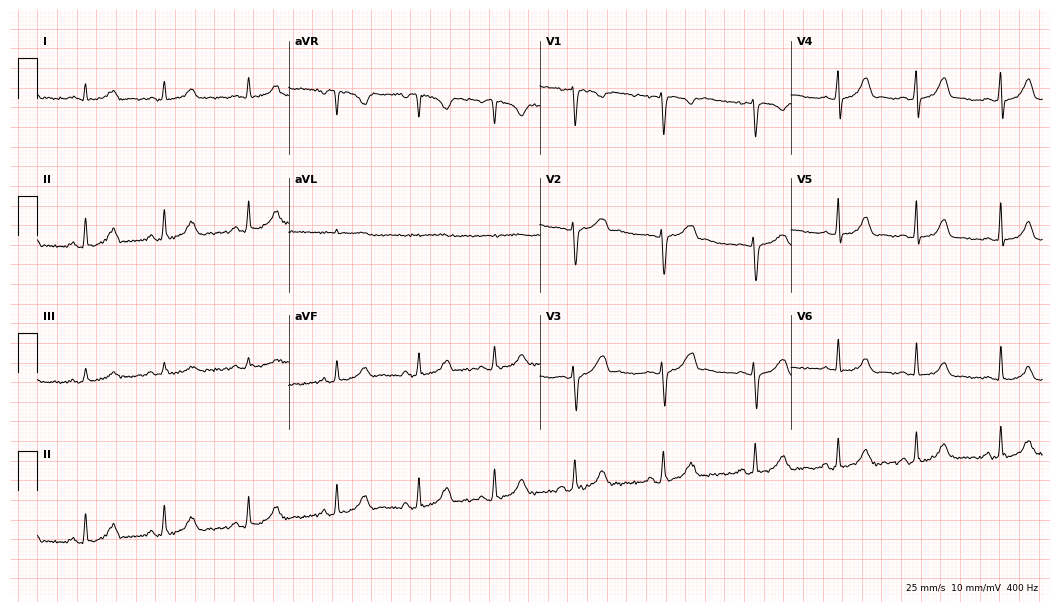
ECG (10.2-second recording at 400 Hz) — a female, 36 years old. Screened for six findings — first-degree AV block, right bundle branch block, left bundle branch block, sinus bradycardia, atrial fibrillation, sinus tachycardia — none is recorded.